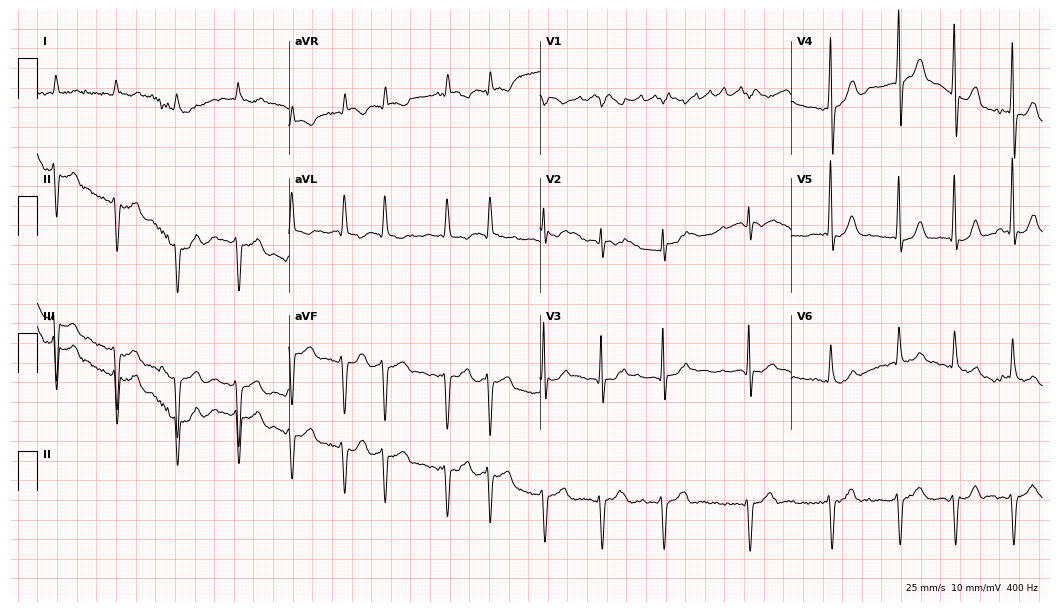
12-lead ECG (10.2-second recording at 400 Hz) from a male, 85 years old. Findings include atrial fibrillation.